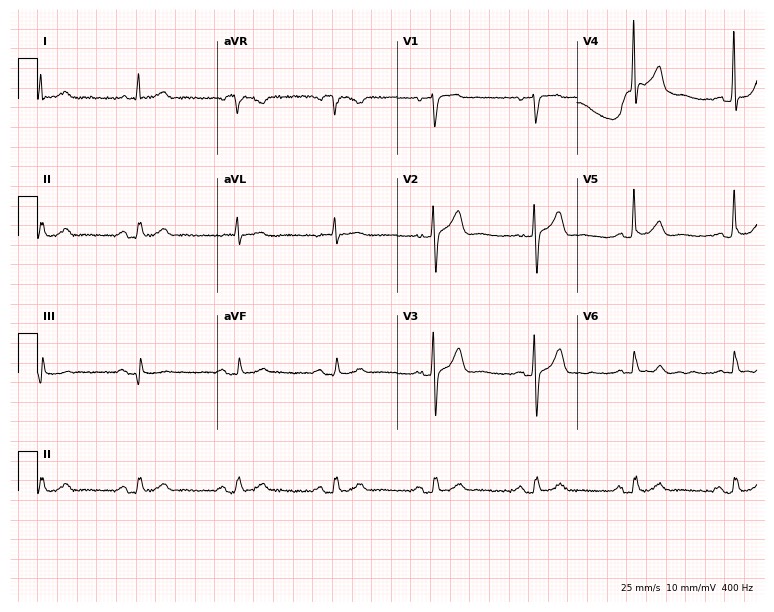
Electrocardiogram, a man, 74 years old. Overall reading on record: normal ECG.